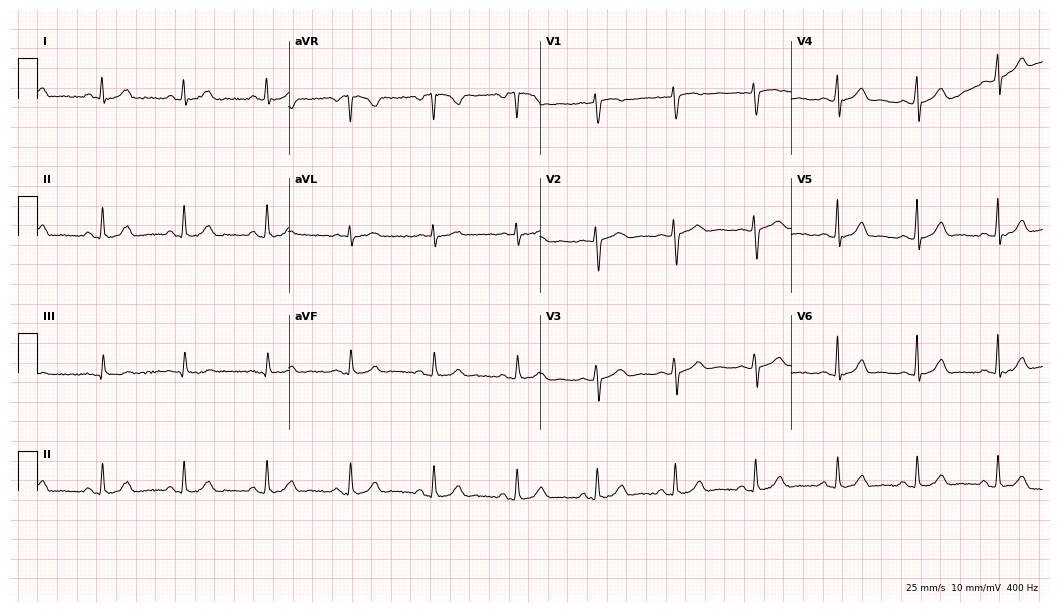
Standard 12-lead ECG recorded from a 36-year-old female. Read as a normal ECG.